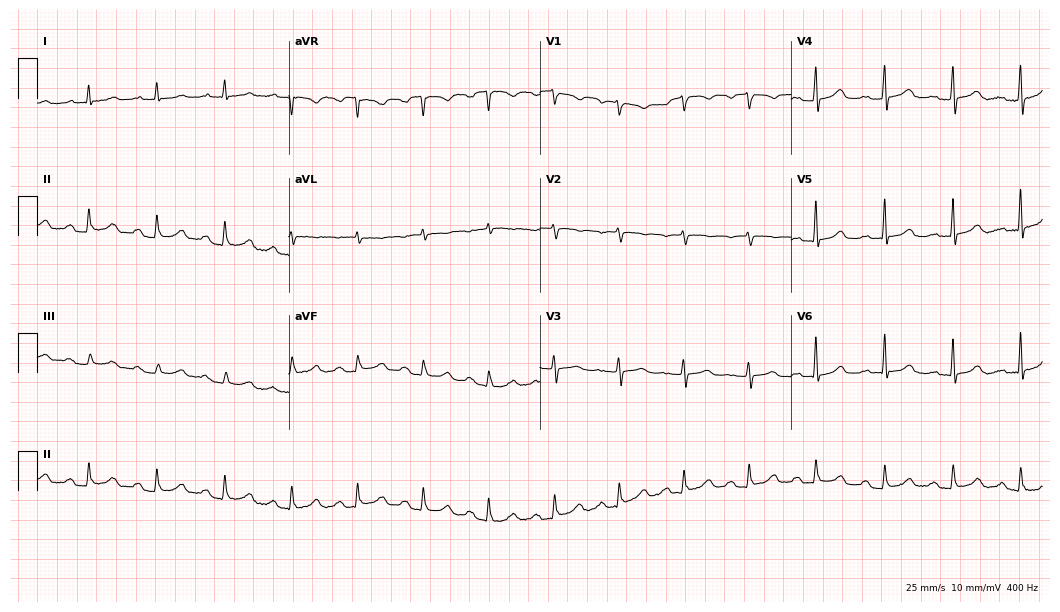
Standard 12-lead ECG recorded from a woman, 65 years old (10.2-second recording at 400 Hz). The tracing shows first-degree AV block.